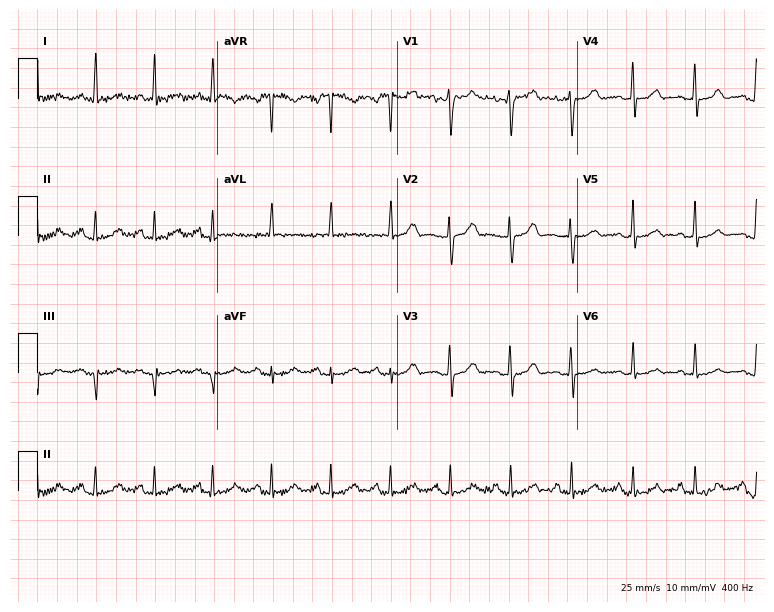
12-lead ECG from a 52-year-old female. Screened for six findings — first-degree AV block, right bundle branch block, left bundle branch block, sinus bradycardia, atrial fibrillation, sinus tachycardia — none is recorded.